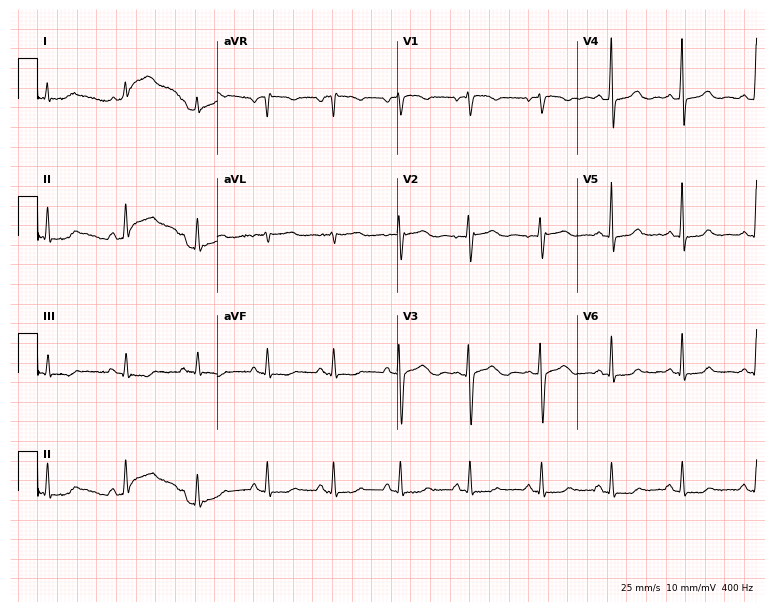
Standard 12-lead ECG recorded from a 45-year-old female. None of these six findings is recorded: first-degree AV block, right bundle branch block, left bundle branch block, sinus bradycardia, atrial fibrillation, sinus tachycardia. Only these six findings were labelled.